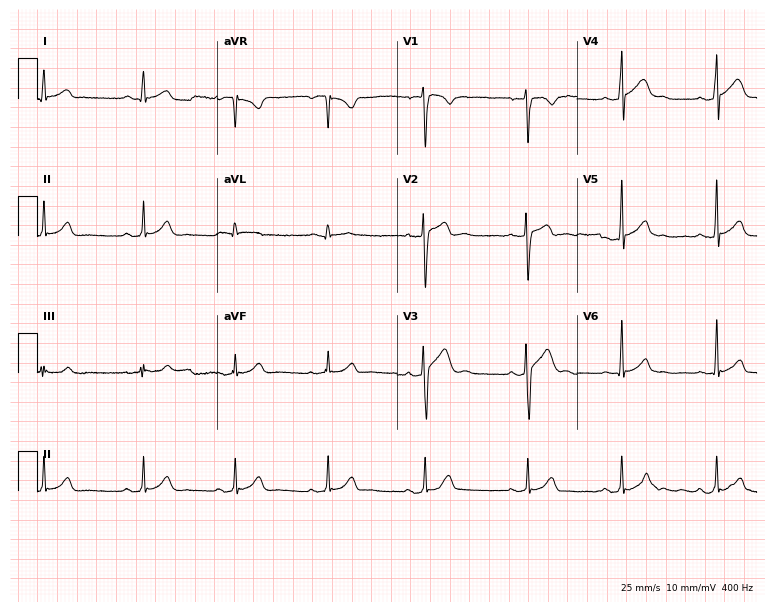
12-lead ECG from a male, 28 years old (7.3-second recording at 400 Hz). Recorded interpretation: within normal limits.